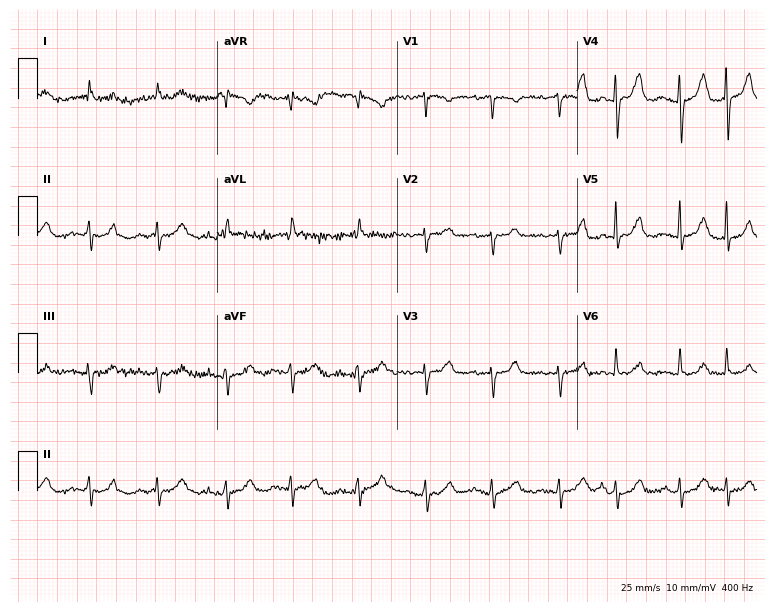
Resting 12-lead electrocardiogram. Patient: a male, 84 years old. Read as a normal ECG.